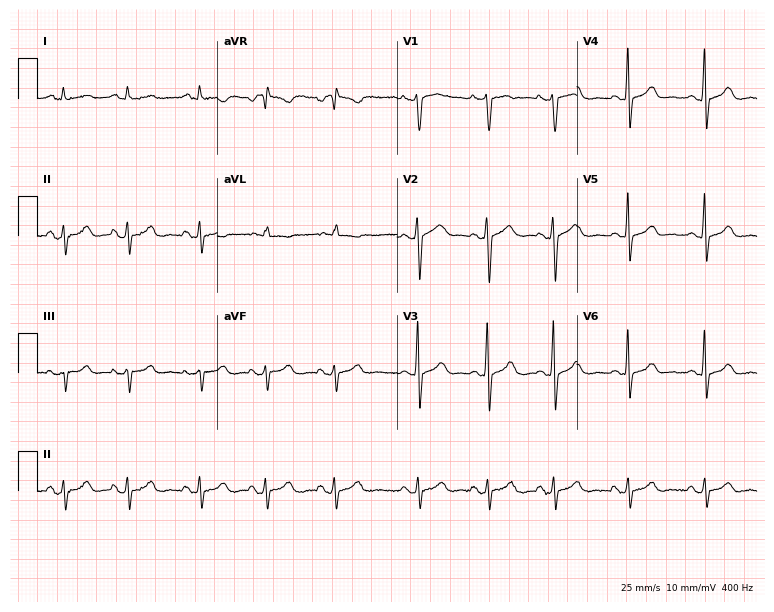
Standard 12-lead ECG recorded from a 17-year-old female (7.3-second recording at 400 Hz). None of these six findings is recorded: first-degree AV block, right bundle branch block (RBBB), left bundle branch block (LBBB), sinus bradycardia, atrial fibrillation (AF), sinus tachycardia. Only these six findings were labelled.